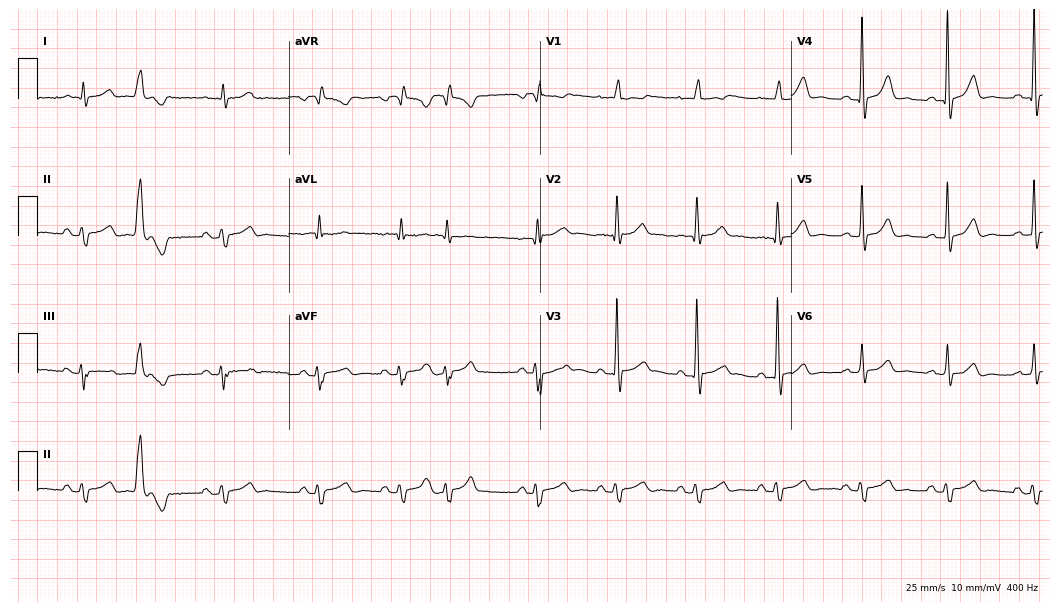
Standard 12-lead ECG recorded from a male, 68 years old. None of these six findings is recorded: first-degree AV block, right bundle branch block (RBBB), left bundle branch block (LBBB), sinus bradycardia, atrial fibrillation (AF), sinus tachycardia.